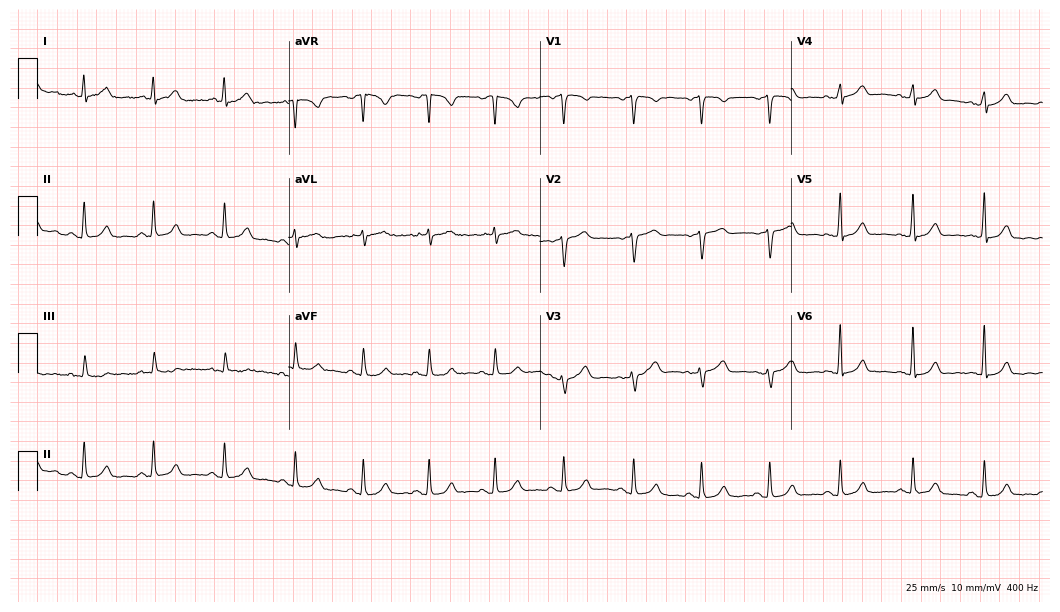
Electrocardiogram (10.2-second recording at 400 Hz), a 48-year-old woman. Overall reading on record: normal ECG.